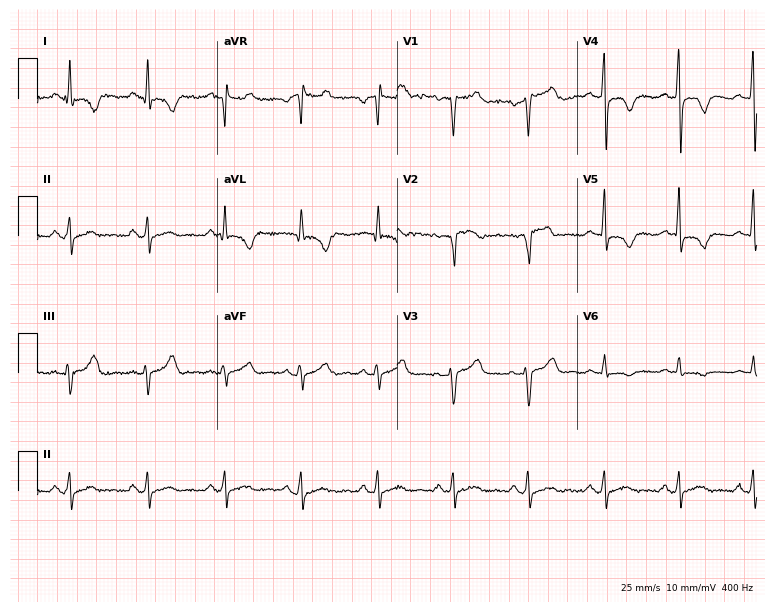
12-lead ECG from a man, 40 years old. No first-degree AV block, right bundle branch block, left bundle branch block, sinus bradycardia, atrial fibrillation or sinus tachycardia recorded for this tracing. Only these six findings were labelled.